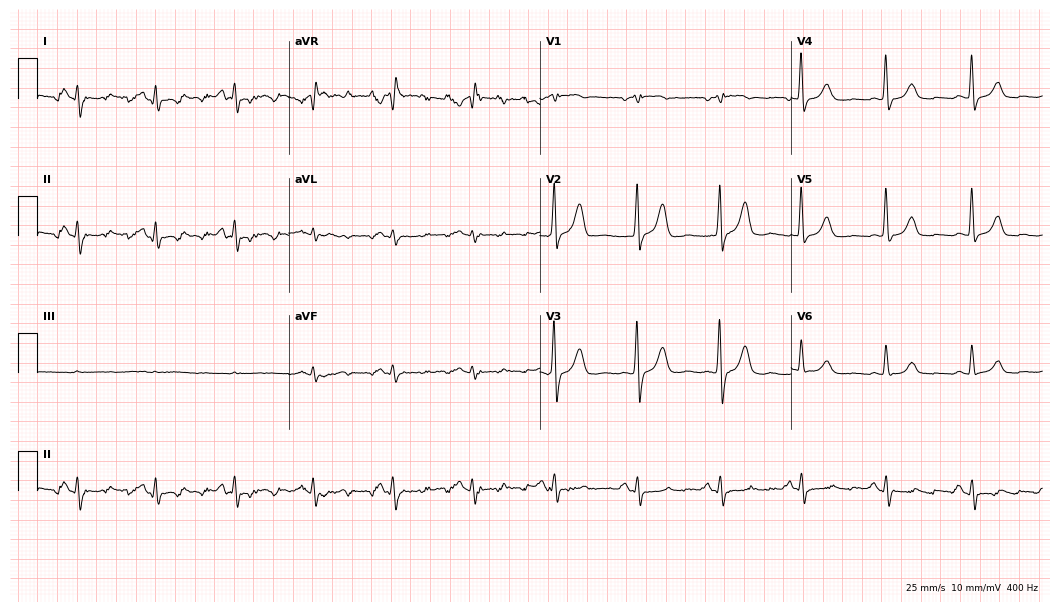
Standard 12-lead ECG recorded from a 68-year-old female patient. None of these six findings is recorded: first-degree AV block, right bundle branch block, left bundle branch block, sinus bradycardia, atrial fibrillation, sinus tachycardia.